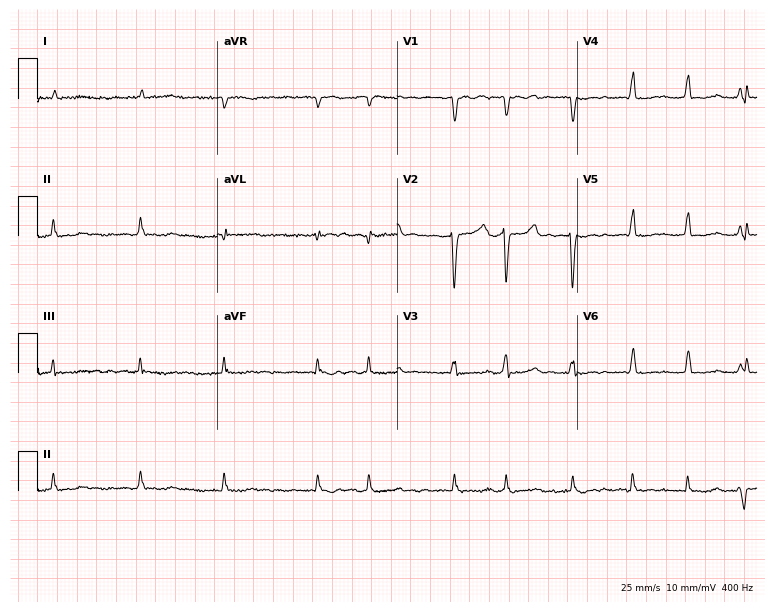
Standard 12-lead ECG recorded from a 61-year-old female (7.3-second recording at 400 Hz). The tracing shows atrial fibrillation.